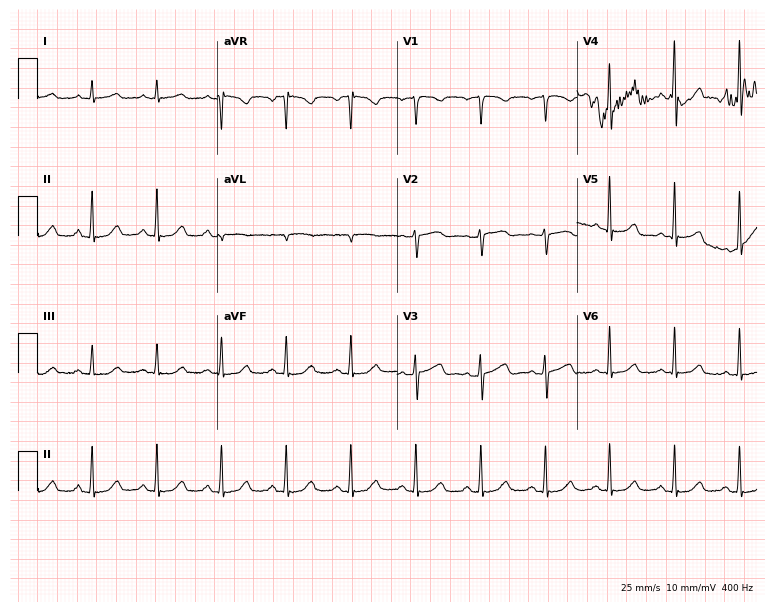
Standard 12-lead ECG recorded from a female patient, 55 years old (7.3-second recording at 400 Hz). Read as a normal ECG.